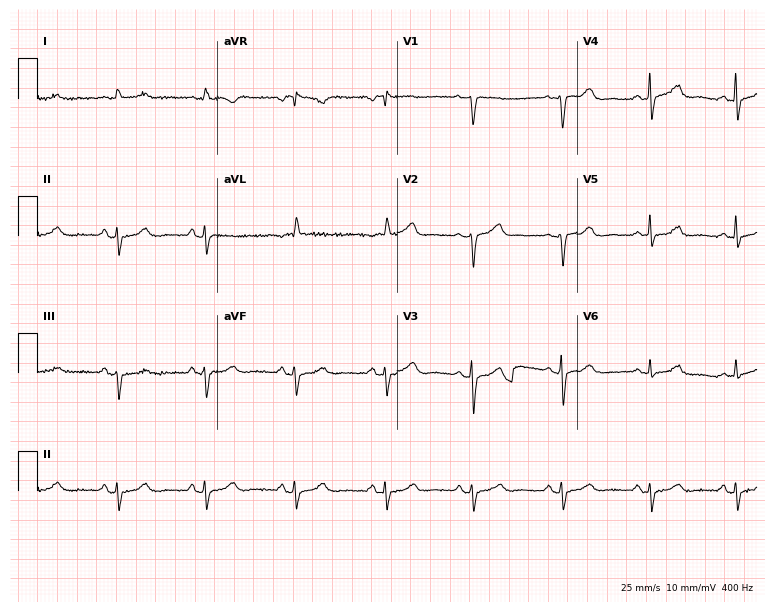
12-lead ECG from a 69-year-old woman. Screened for six findings — first-degree AV block, right bundle branch block (RBBB), left bundle branch block (LBBB), sinus bradycardia, atrial fibrillation (AF), sinus tachycardia — none is recorded. Findings outside these six are not listed.